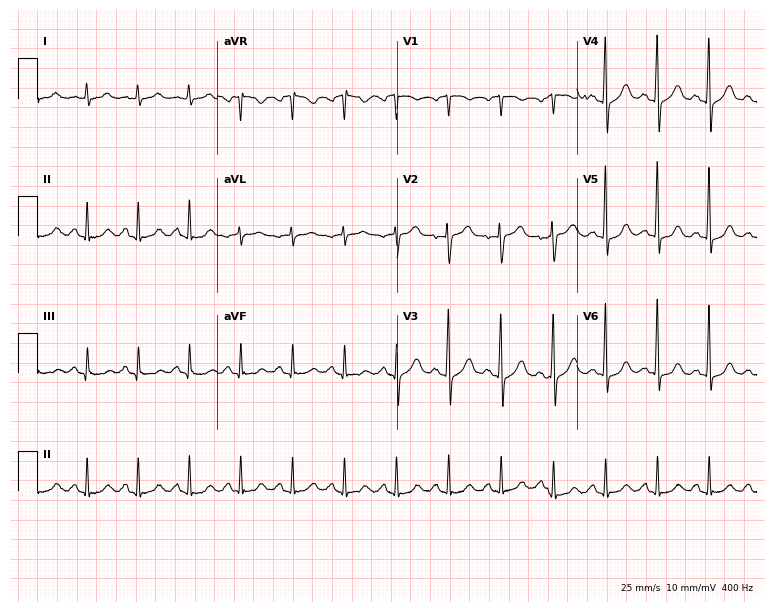
Standard 12-lead ECG recorded from a woman, 56 years old. The tracing shows sinus tachycardia (a sinus rate of 100 beats per minute or more).